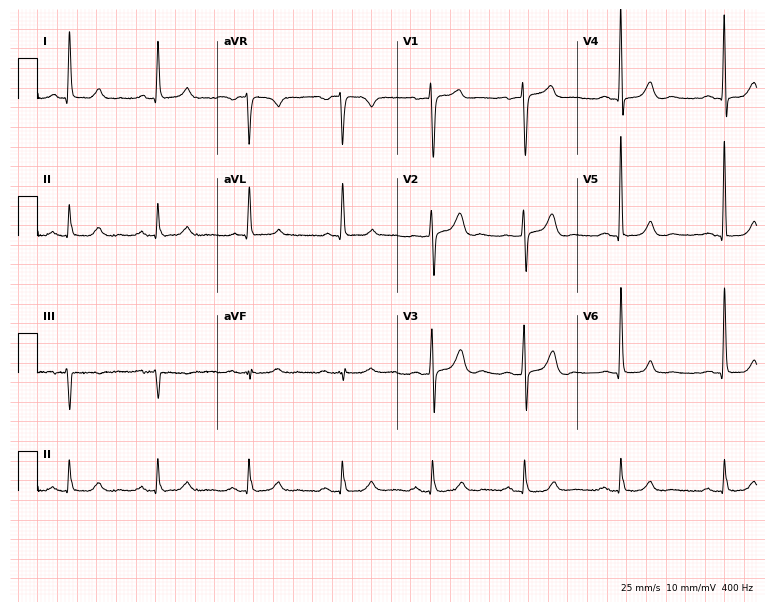
12-lead ECG from a 64-year-old male (7.3-second recording at 400 Hz). No first-degree AV block, right bundle branch block, left bundle branch block, sinus bradycardia, atrial fibrillation or sinus tachycardia recorded for this tracing.